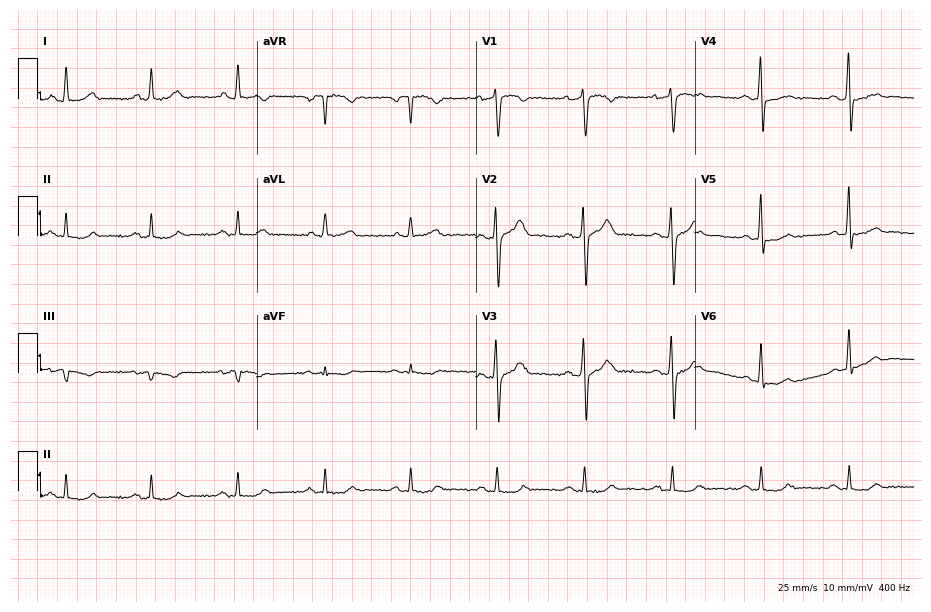
Electrocardiogram, a 46-year-old male. Overall reading on record: normal ECG.